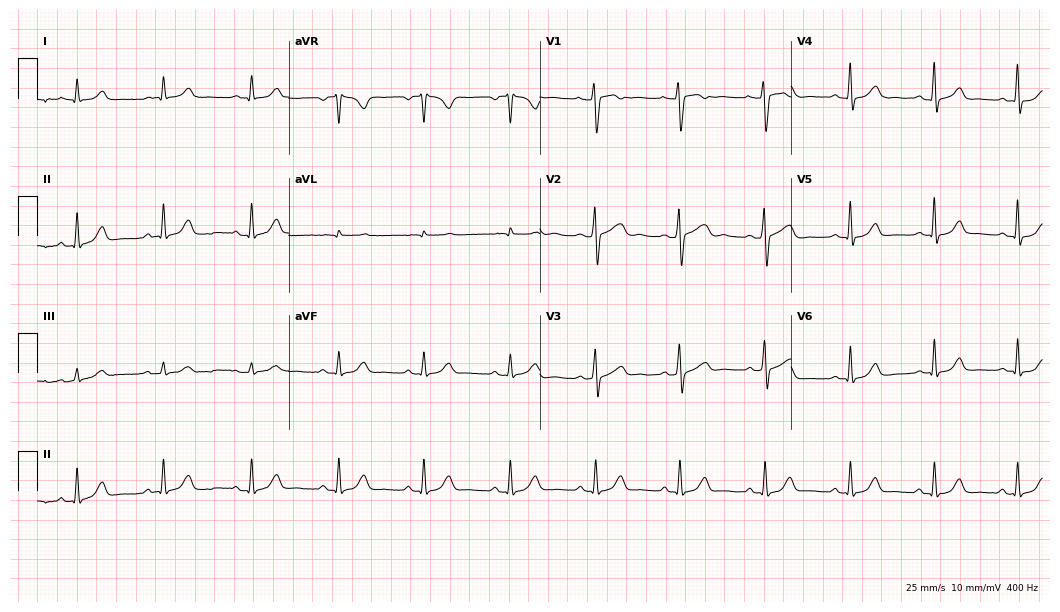
ECG (10.2-second recording at 400 Hz) — a female patient, 49 years old. Screened for six findings — first-degree AV block, right bundle branch block (RBBB), left bundle branch block (LBBB), sinus bradycardia, atrial fibrillation (AF), sinus tachycardia — none is recorded.